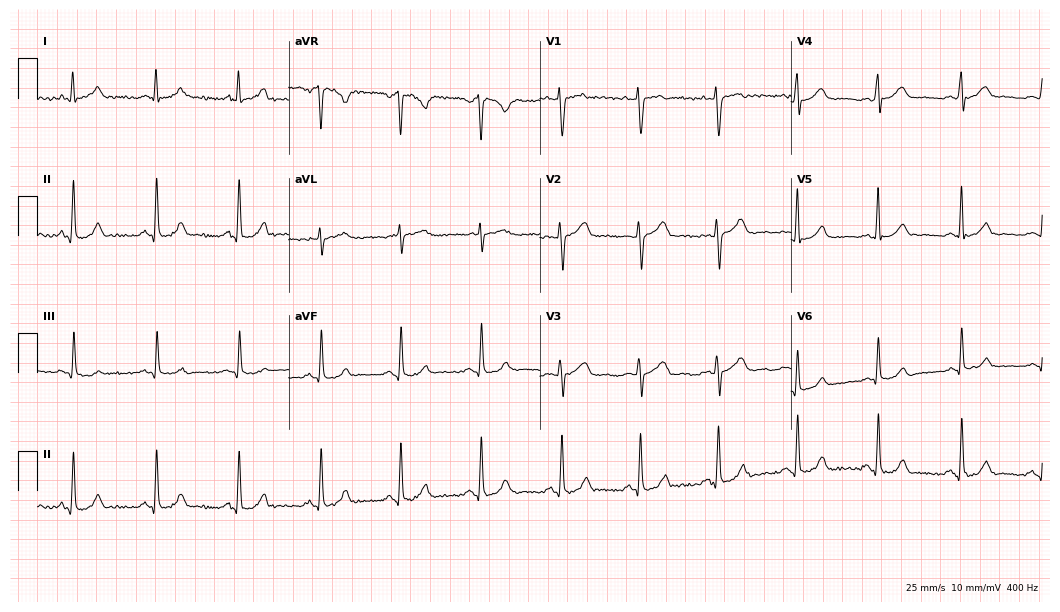
12-lead ECG (10.2-second recording at 400 Hz) from a 35-year-old female. Labelled as a normal ECG.